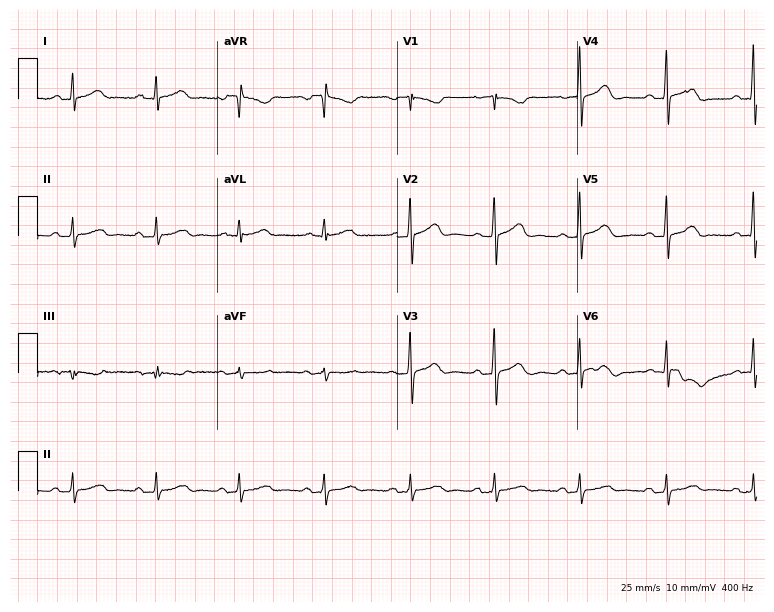
ECG — a female patient, 76 years old. Labelled as a normal ECG.